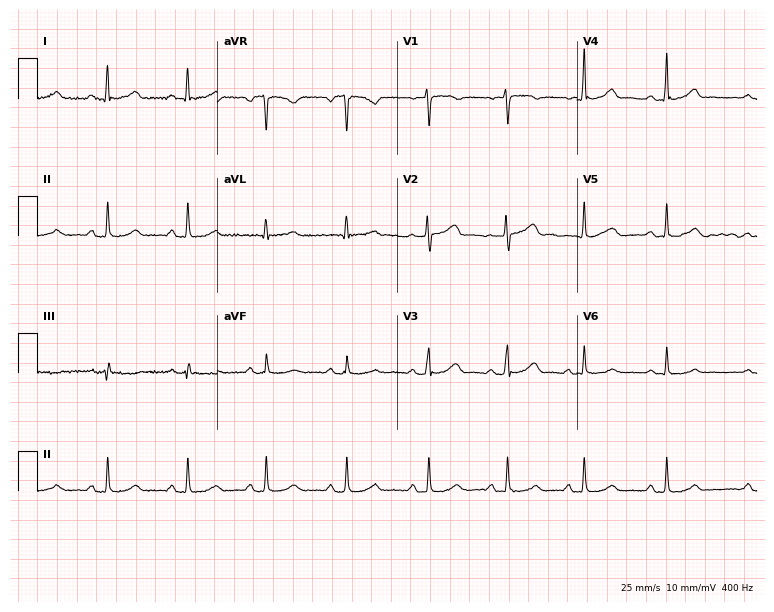
12-lead ECG from a 43-year-old female patient. Labelled as a normal ECG.